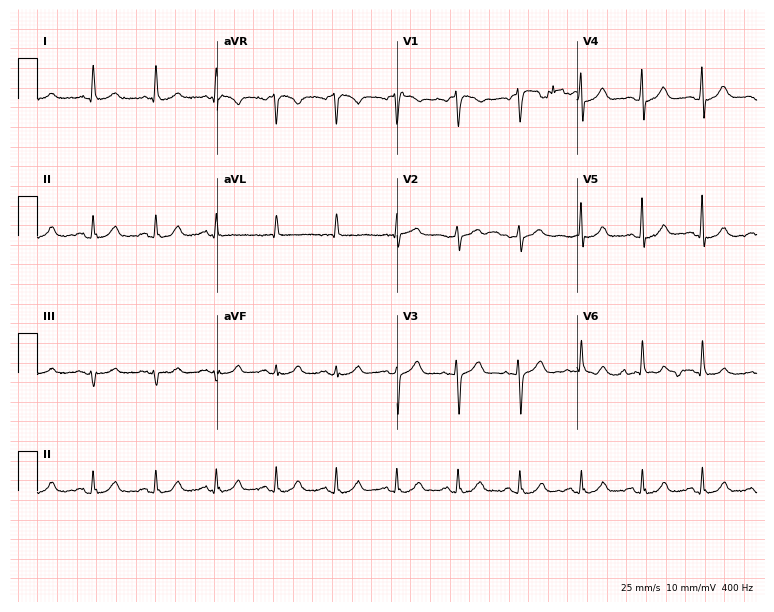
12-lead ECG from a male patient, 68 years old. Labelled as a normal ECG.